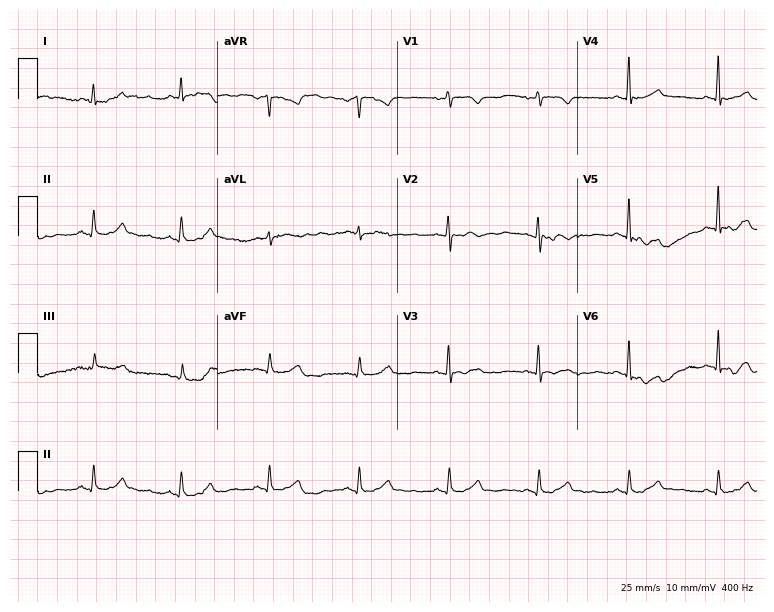
Standard 12-lead ECG recorded from a woman, 77 years old. None of these six findings is recorded: first-degree AV block, right bundle branch block, left bundle branch block, sinus bradycardia, atrial fibrillation, sinus tachycardia.